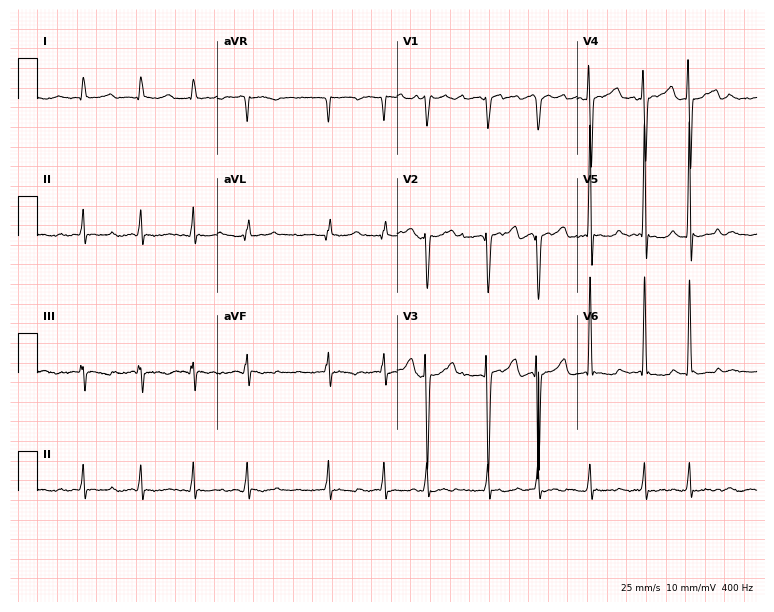
ECG (7.3-second recording at 400 Hz) — an 81-year-old male. Findings include atrial fibrillation.